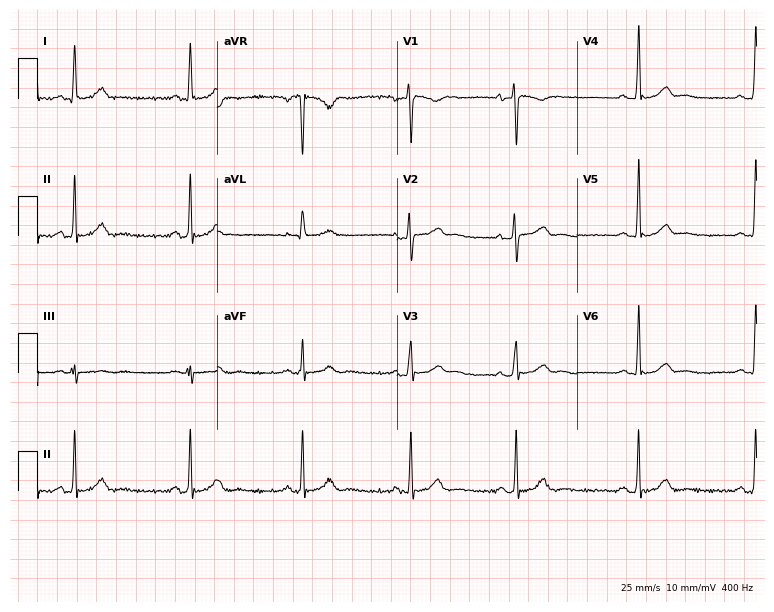
12-lead ECG (7.3-second recording at 400 Hz) from a 41-year-old female patient. Labelled as a normal ECG.